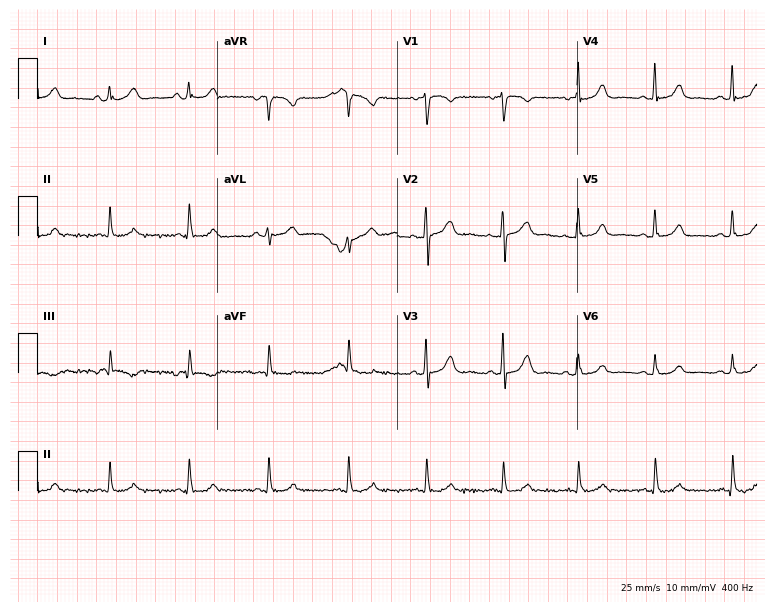
12-lead ECG (7.3-second recording at 400 Hz) from a 65-year-old female. Labelled as a normal ECG.